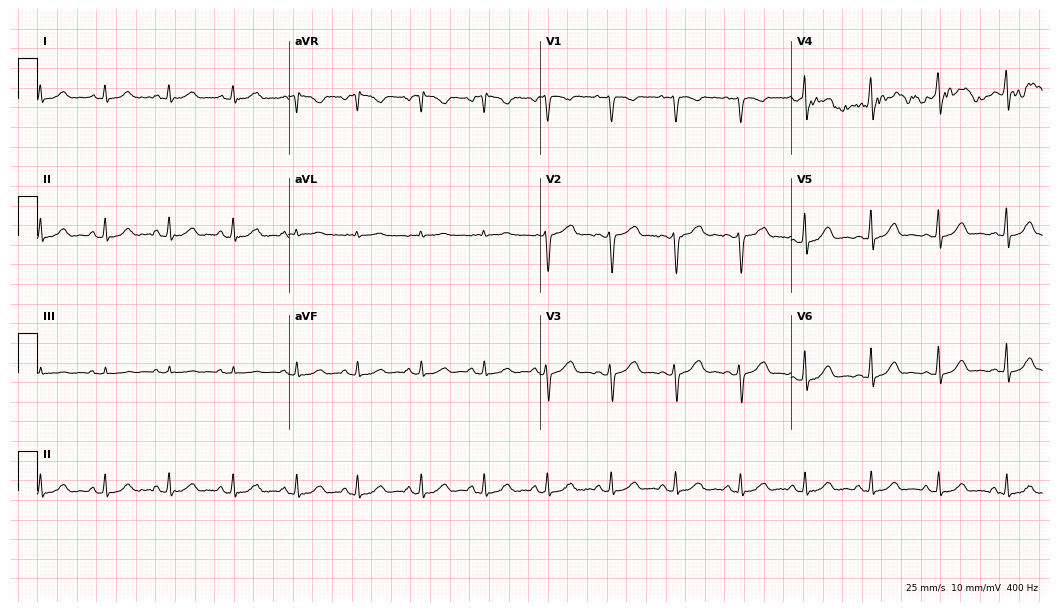
Resting 12-lead electrocardiogram (10.2-second recording at 400 Hz). Patient: a female, 37 years old. None of these six findings is recorded: first-degree AV block, right bundle branch block (RBBB), left bundle branch block (LBBB), sinus bradycardia, atrial fibrillation (AF), sinus tachycardia.